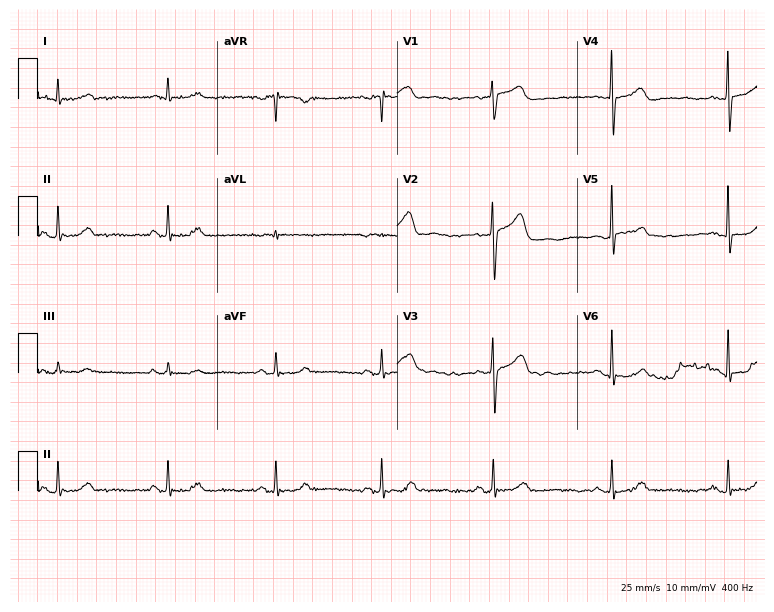
12-lead ECG from a 71-year-old man. Recorded interpretation: within normal limits.